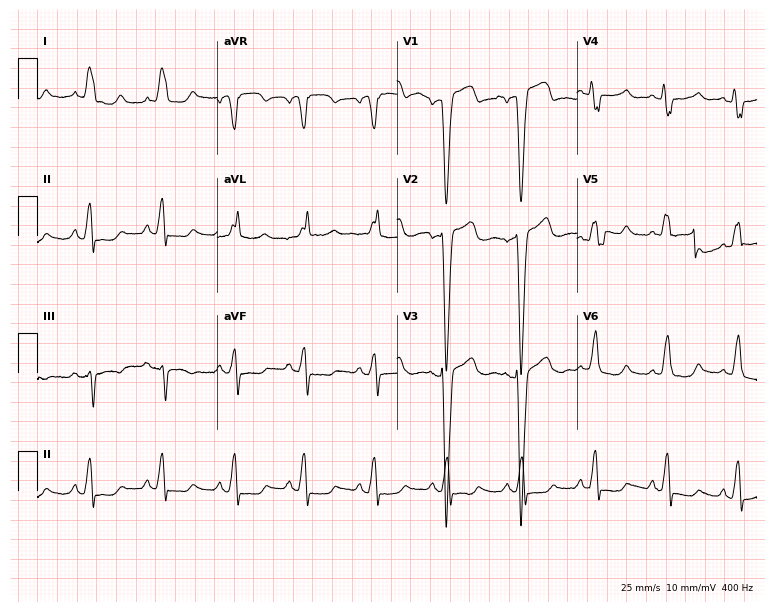
12-lead ECG from a 60-year-old female patient. Screened for six findings — first-degree AV block, right bundle branch block (RBBB), left bundle branch block (LBBB), sinus bradycardia, atrial fibrillation (AF), sinus tachycardia — none is recorded. Only these six findings were labelled.